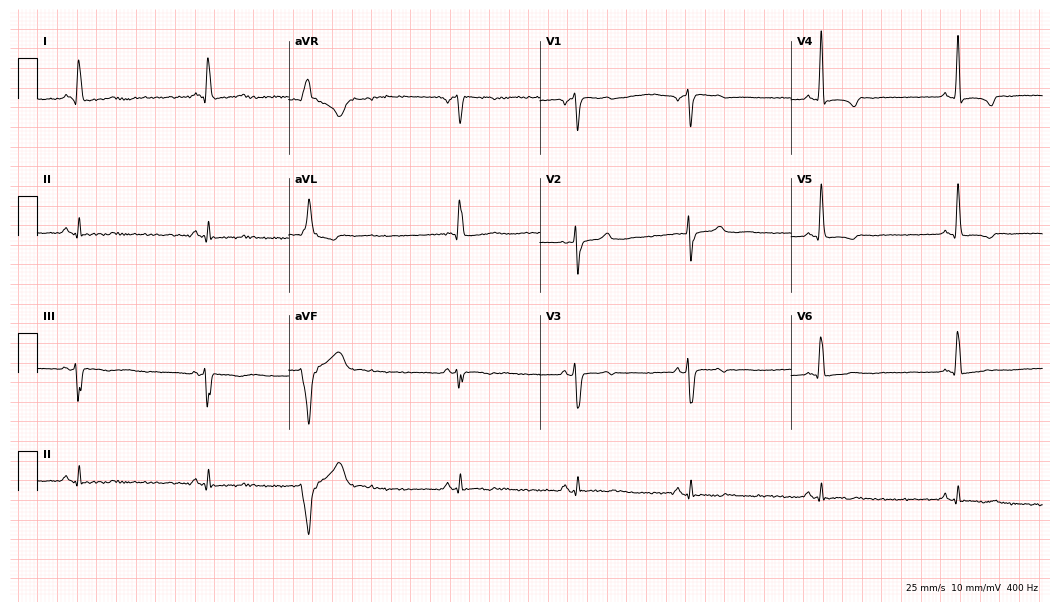
12-lead ECG (10.2-second recording at 400 Hz) from a female, 47 years old. Screened for six findings — first-degree AV block, right bundle branch block, left bundle branch block, sinus bradycardia, atrial fibrillation, sinus tachycardia — none is recorded.